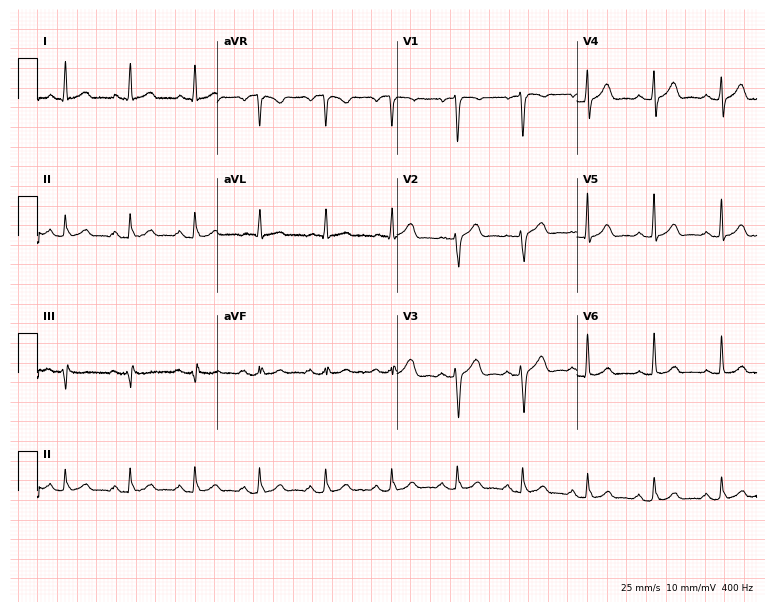
12-lead ECG (7.3-second recording at 400 Hz) from a male, 68 years old. Labelled as a normal ECG.